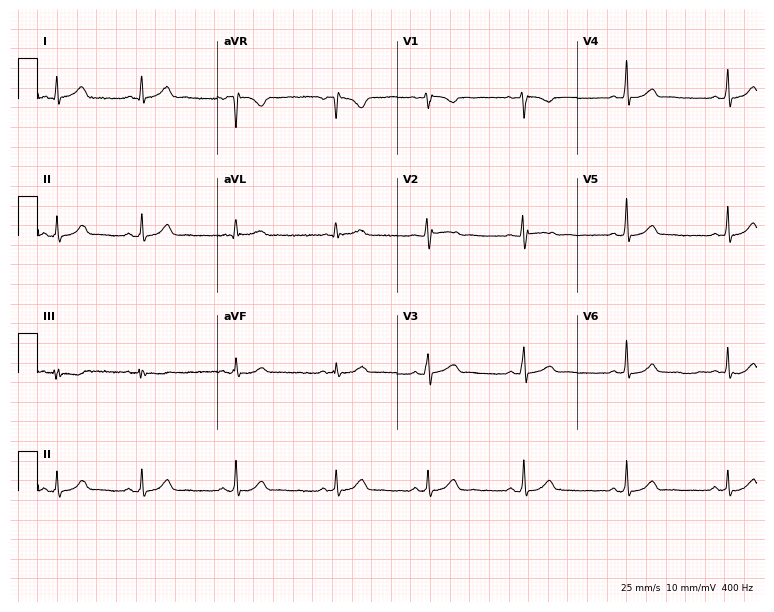
12-lead ECG from a 20-year-old female. No first-degree AV block, right bundle branch block, left bundle branch block, sinus bradycardia, atrial fibrillation or sinus tachycardia recorded for this tracing. Other findings, if any, are not listed.